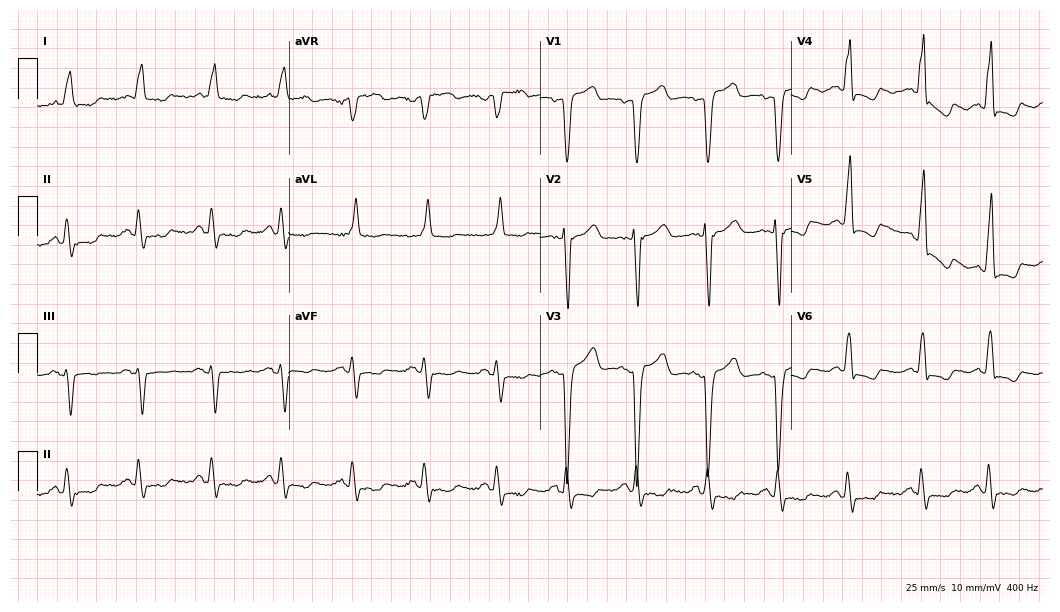
Standard 12-lead ECG recorded from a 72-year-old female (10.2-second recording at 400 Hz). The tracing shows left bundle branch block (LBBB).